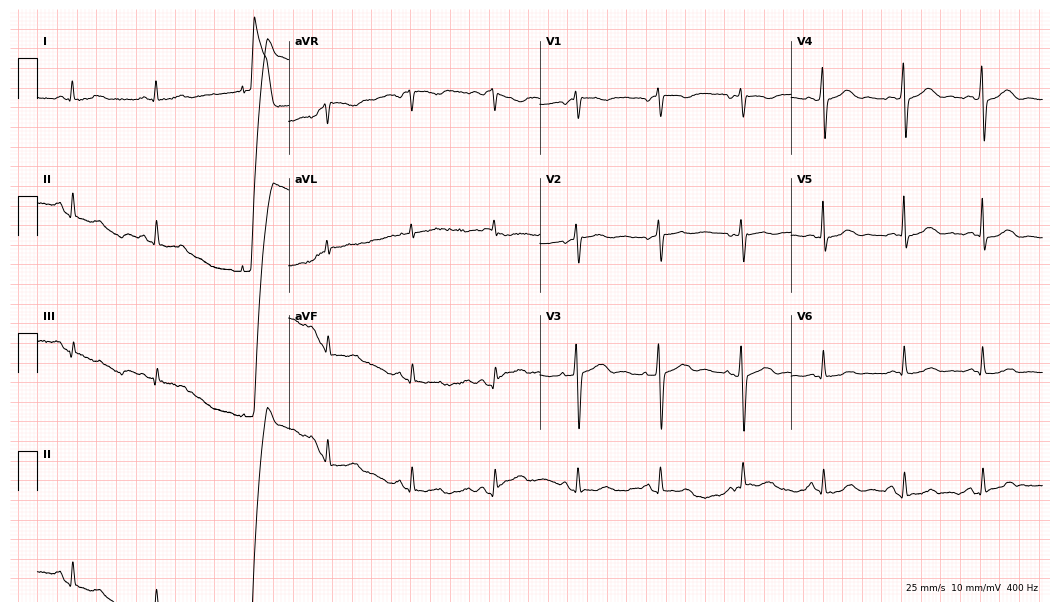
12-lead ECG from a 55-year-old female patient (10.2-second recording at 400 Hz). Recorded interpretation: within normal limits.